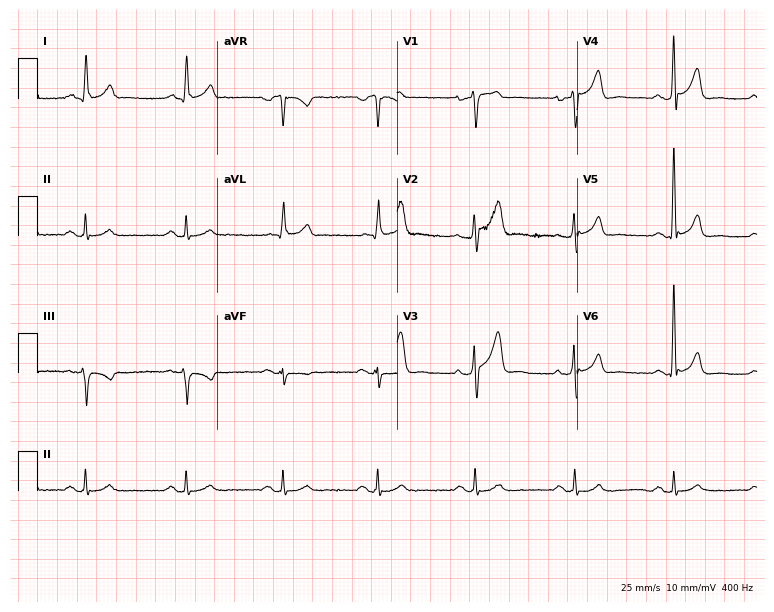
Standard 12-lead ECG recorded from a 58-year-old male (7.3-second recording at 400 Hz). None of these six findings is recorded: first-degree AV block, right bundle branch block, left bundle branch block, sinus bradycardia, atrial fibrillation, sinus tachycardia.